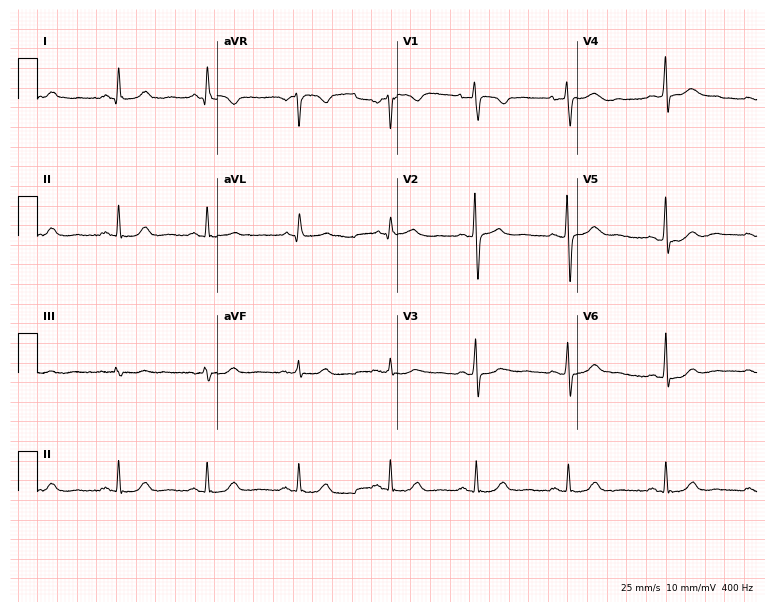
ECG (7.3-second recording at 400 Hz) — a 49-year-old woman. Screened for six findings — first-degree AV block, right bundle branch block (RBBB), left bundle branch block (LBBB), sinus bradycardia, atrial fibrillation (AF), sinus tachycardia — none is recorded.